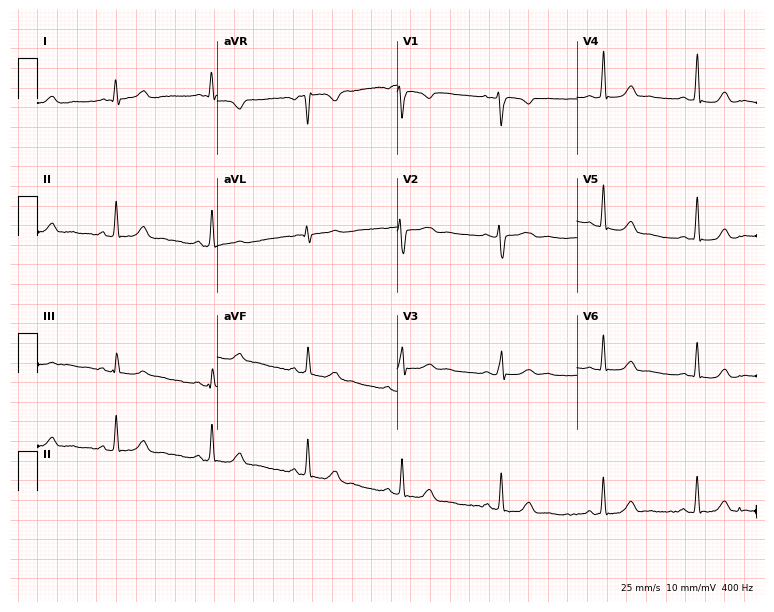
ECG — a 29-year-old woman. Screened for six findings — first-degree AV block, right bundle branch block, left bundle branch block, sinus bradycardia, atrial fibrillation, sinus tachycardia — none is recorded. Other findings, if any, are not listed.